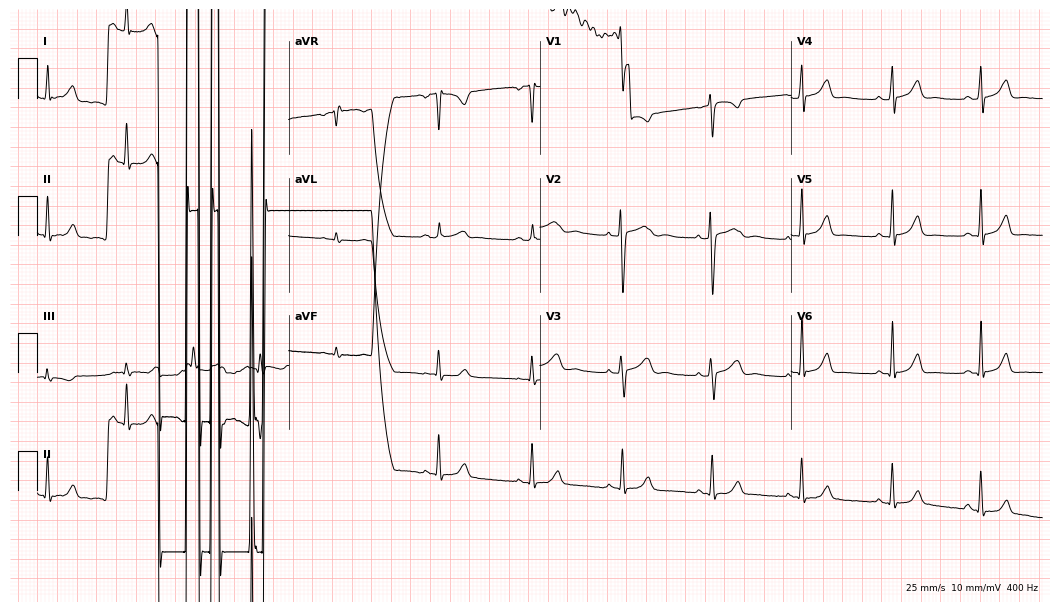
Standard 12-lead ECG recorded from a female patient, 19 years old (10.2-second recording at 400 Hz). None of these six findings is recorded: first-degree AV block, right bundle branch block (RBBB), left bundle branch block (LBBB), sinus bradycardia, atrial fibrillation (AF), sinus tachycardia. Other findings, if any, are not listed.